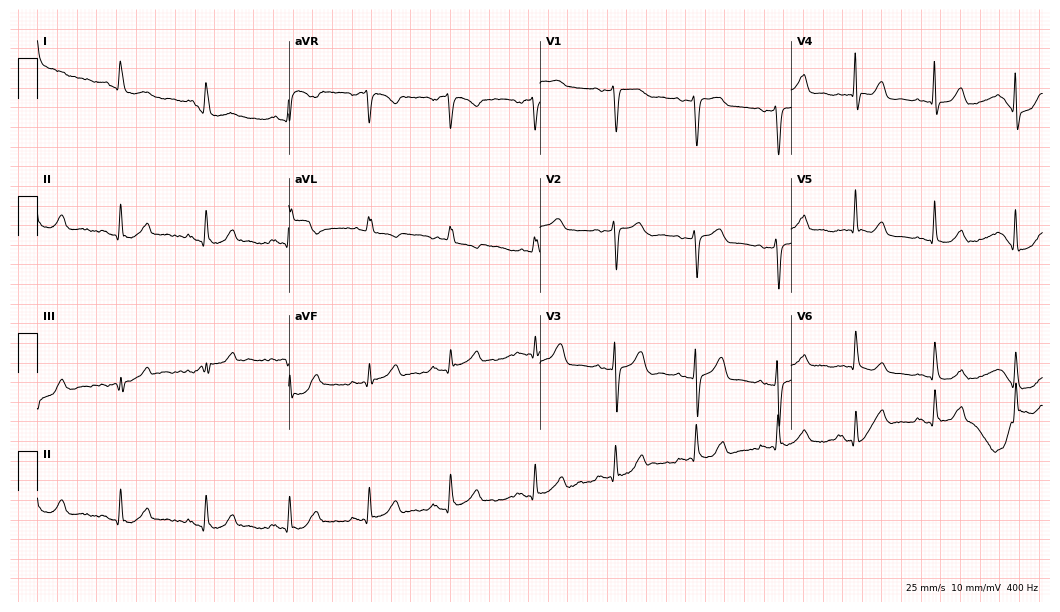
Electrocardiogram (10.2-second recording at 400 Hz), a woman, 49 years old. Overall reading on record: normal ECG.